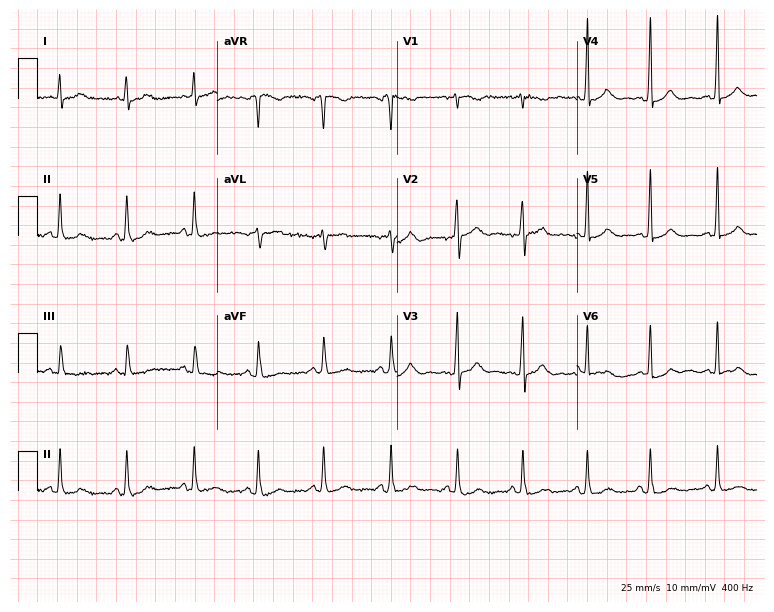
12-lead ECG from a female, 27 years old (7.3-second recording at 400 Hz). No first-degree AV block, right bundle branch block (RBBB), left bundle branch block (LBBB), sinus bradycardia, atrial fibrillation (AF) or sinus tachycardia recorded for this tracing. Findings outside these six are not listed.